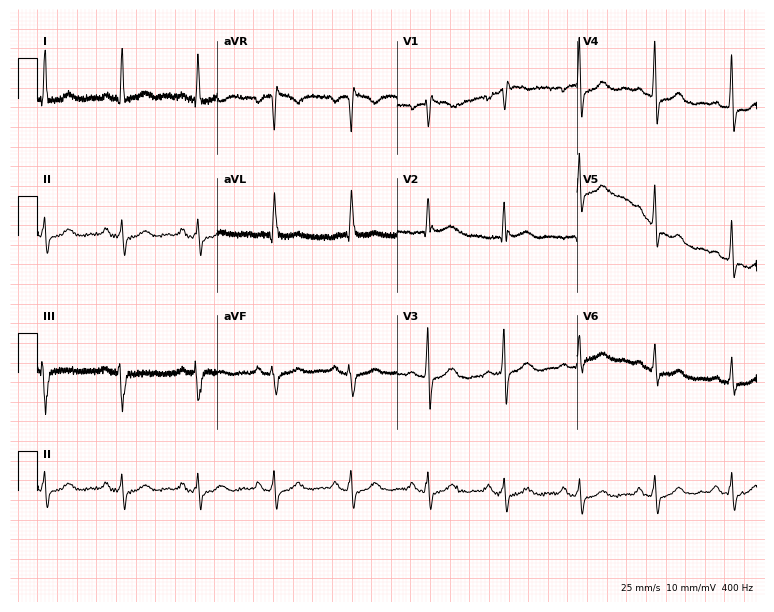
Standard 12-lead ECG recorded from a female patient, 69 years old (7.3-second recording at 400 Hz). None of these six findings is recorded: first-degree AV block, right bundle branch block, left bundle branch block, sinus bradycardia, atrial fibrillation, sinus tachycardia. Only these six findings were labelled.